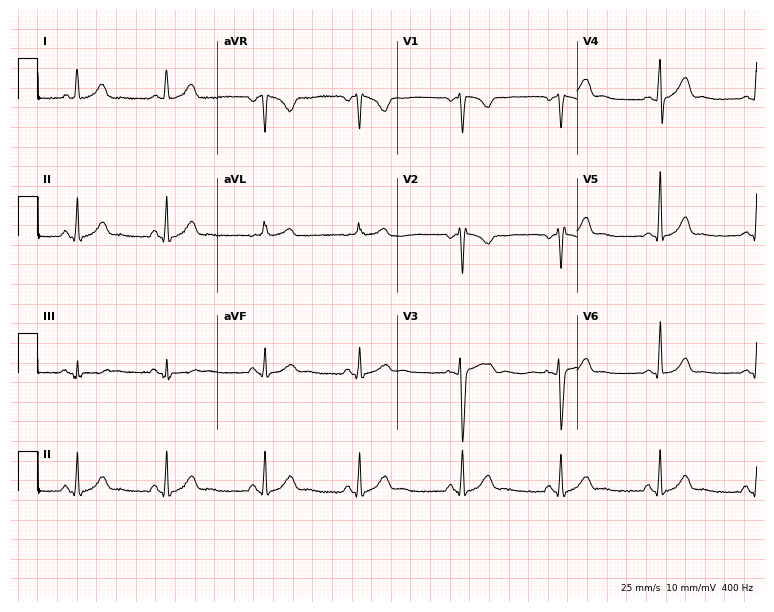
Standard 12-lead ECG recorded from a woman, 24 years old. None of these six findings is recorded: first-degree AV block, right bundle branch block (RBBB), left bundle branch block (LBBB), sinus bradycardia, atrial fibrillation (AF), sinus tachycardia. Only these six findings were labelled.